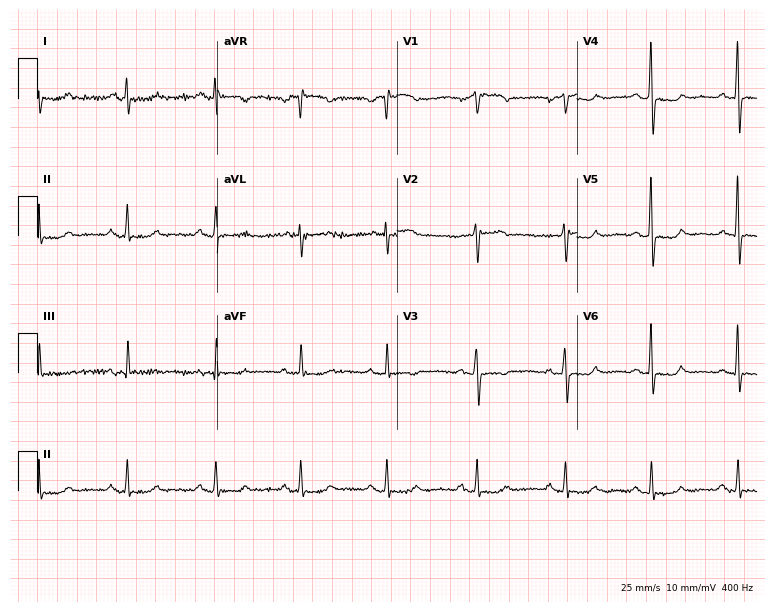
12-lead ECG (7.3-second recording at 400 Hz) from a 53-year-old woman. Screened for six findings — first-degree AV block, right bundle branch block, left bundle branch block, sinus bradycardia, atrial fibrillation, sinus tachycardia — none is recorded. Only these six findings were labelled.